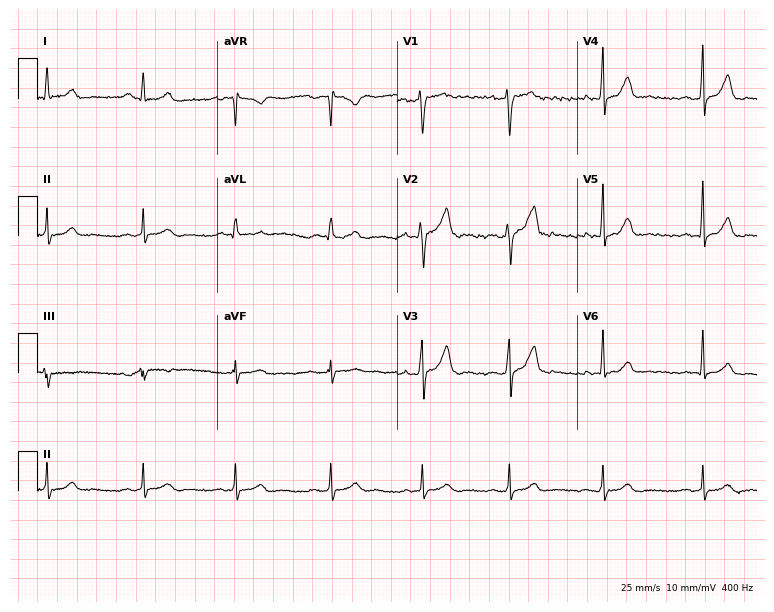
ECG (7.3-second recording at 400 Hz) — a 31-year-old female. Labelled as a normal ECG.